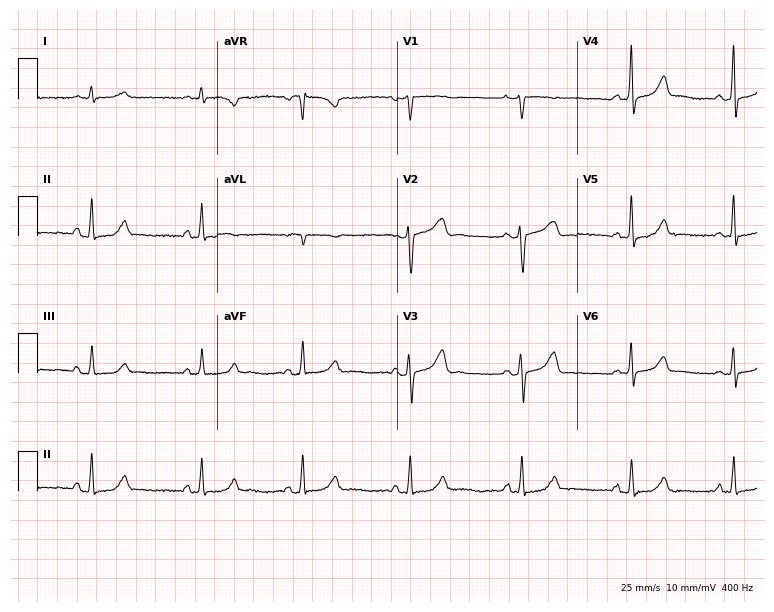
Electrocardiogram (7.3-second recording at 400 Hz), a 62-year-old woman. Overall reading on record: normal ECG.